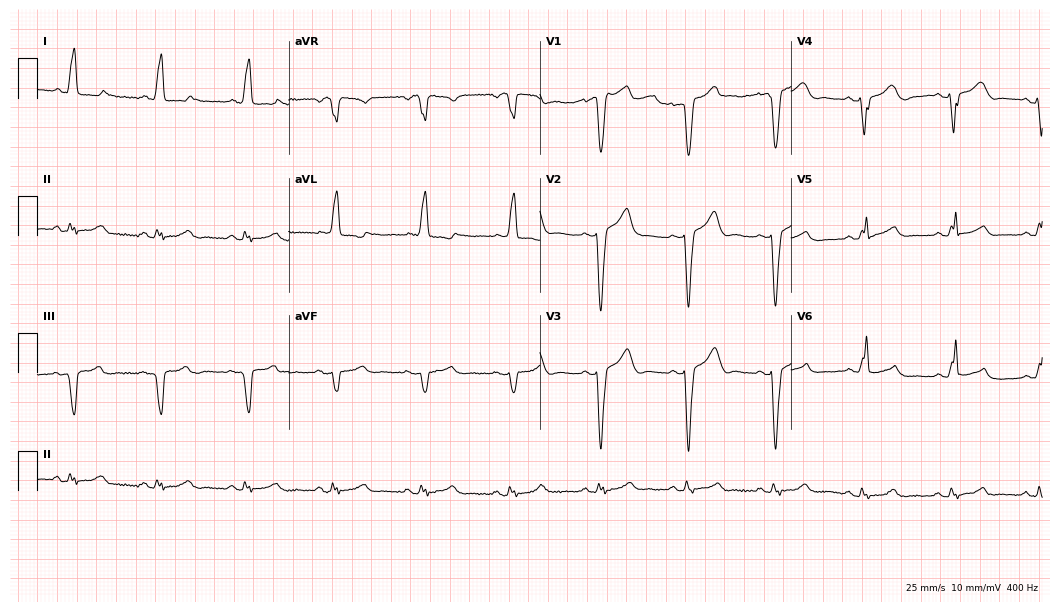
Electrocardiogram, a female, 46 years old. Interpretation includes left bundle branch block (LBBB).